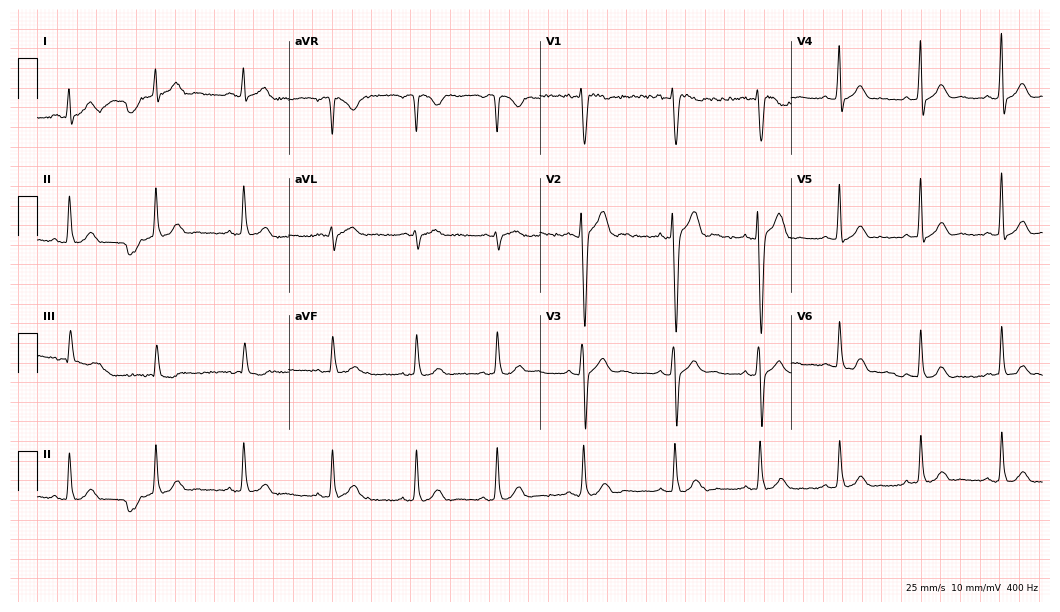
12-lead ECG (10.2-second recording at 400 Hz) from a 24-year-old male patient. Labelled as a normal ECG.